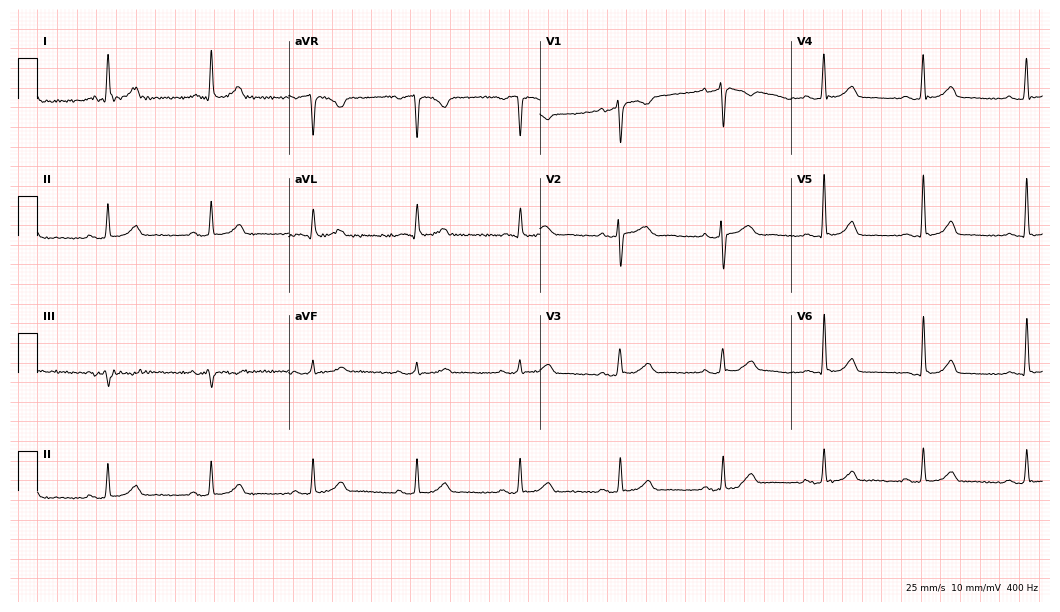
12-lead ECG from a 66-year-old female patient (10.2-second recording at 400 Hz). No first-degree AV block, right bundle branch block (RBBB), left bundle branch block (LBBB), sinus bradycardia, atrial fibrillation (AF) or sinus tachycardia recorded for this tracing.